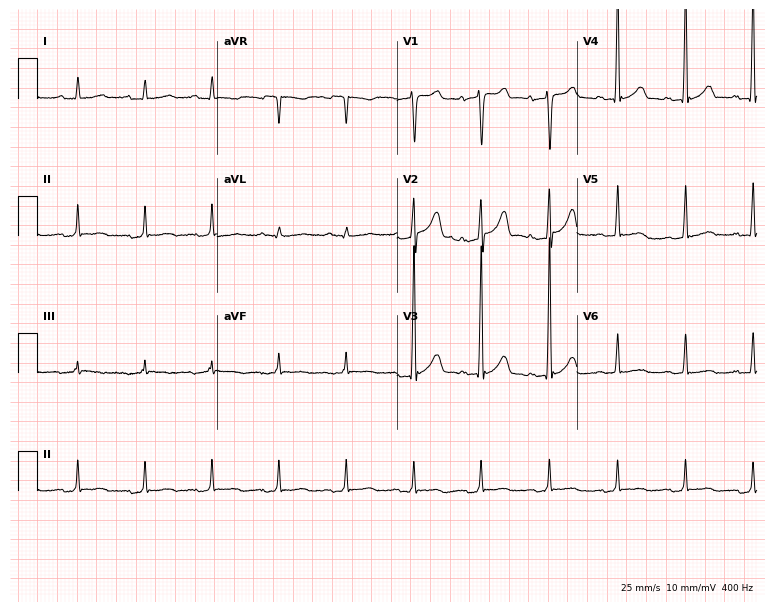
Electrocardiogram (7.3-second recording at 400 Hz), a 53-year-old male. Of the six screened findings (first-degree AV block, right bundle branch block (RBBB), left bundle branch block (LBBB), sinus bradycardia, atrial fibrillation (AF), sinus tachycardia), none is recorded.